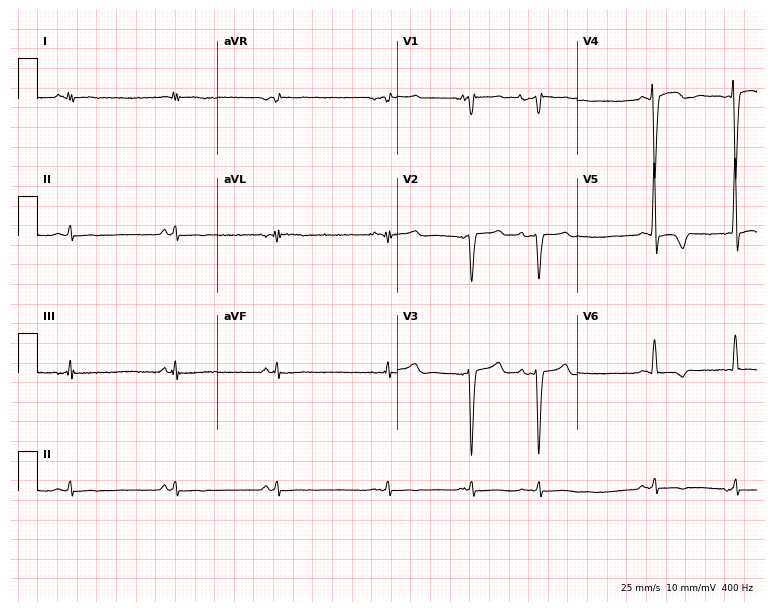
Resting 12-lead electrocardiogram (7.3-second recording at 400 Hz). Patient: a 51-year-old woman. None of these six findings is recorded: first-degree AV block, right bundle branch block, left bundle branch block, sinus bradycardia, atrial fibrillation, sinus tachycardia.